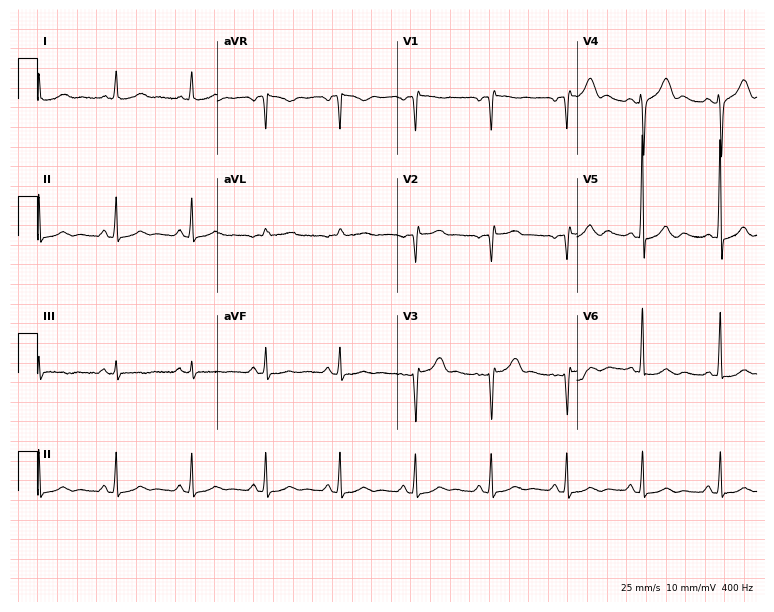
12-lead ECG from a female patient, 64 years old. Recorded interpretation: within normal limits.